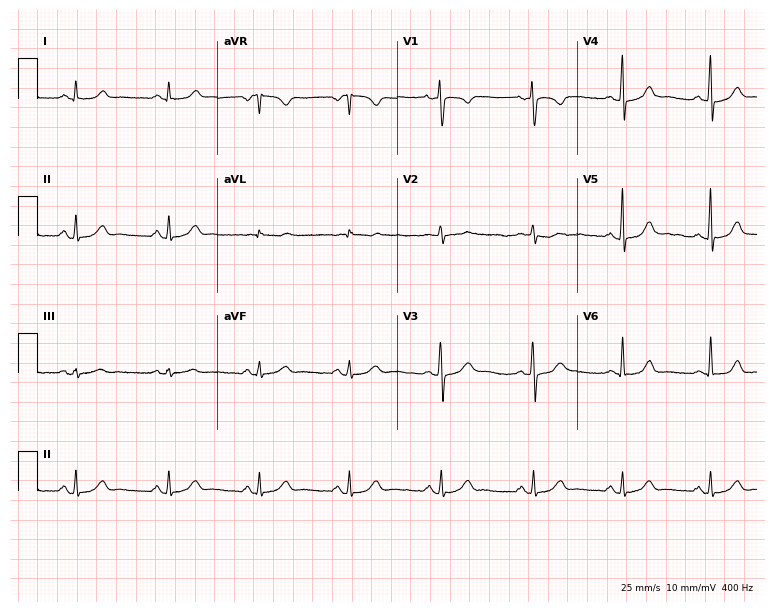
Standard 12-lead ECG recorded from a 38-year-old female patient (7.3-second recording at 400 Hz). Read as a normal ECG.